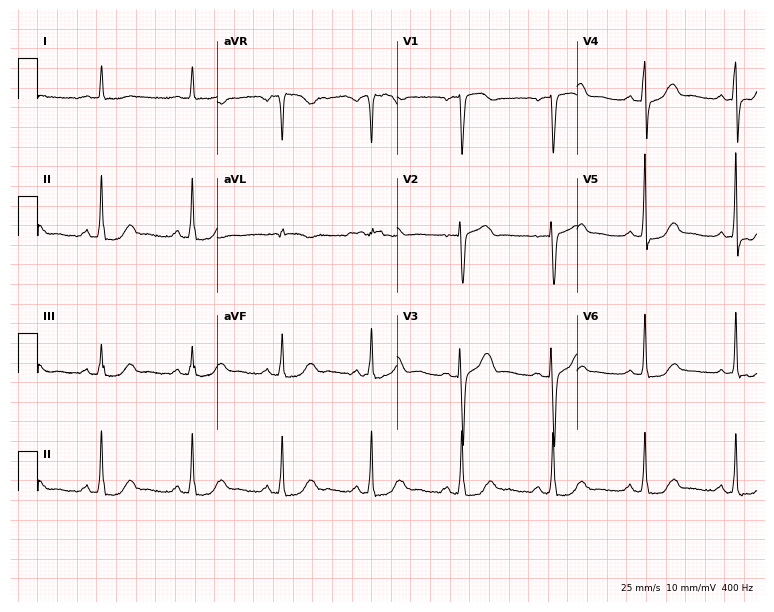
Resting 12-lead electrocardiogram. Patient: a female, 63 years old. Read as a normal ECG.